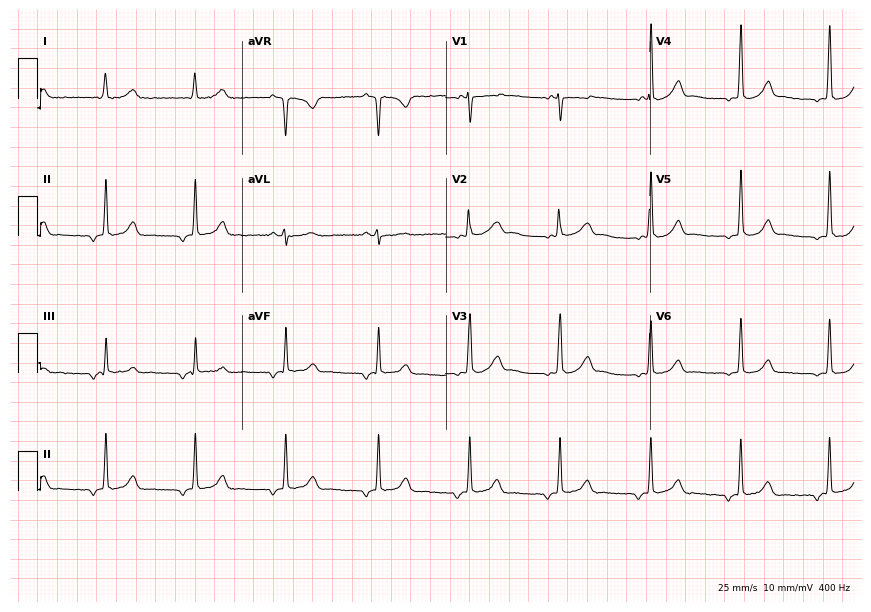
12-lead ECG from a 24-year-old female patient (8.3-second recording at 400 Hz). Recorded interpretation: within normal limits.